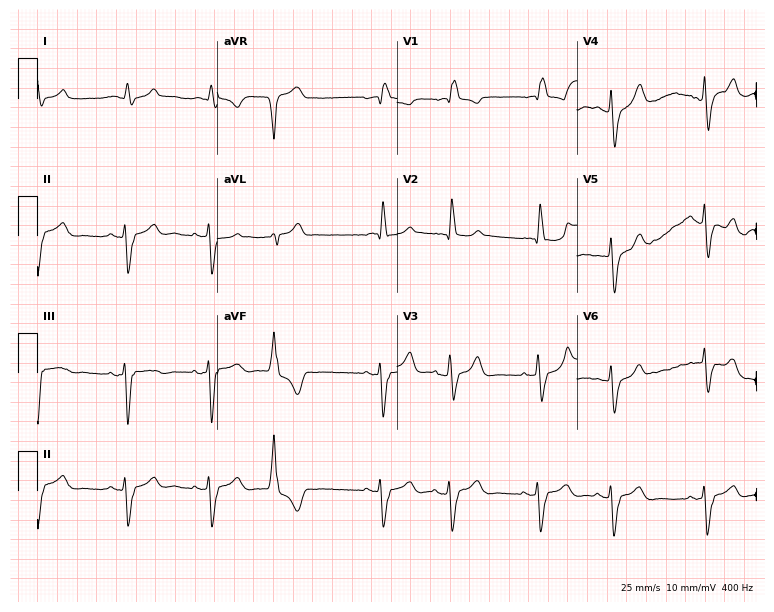
12-lead ECG from a male, 78 years old. Shows right bundle branch block (RBBB).